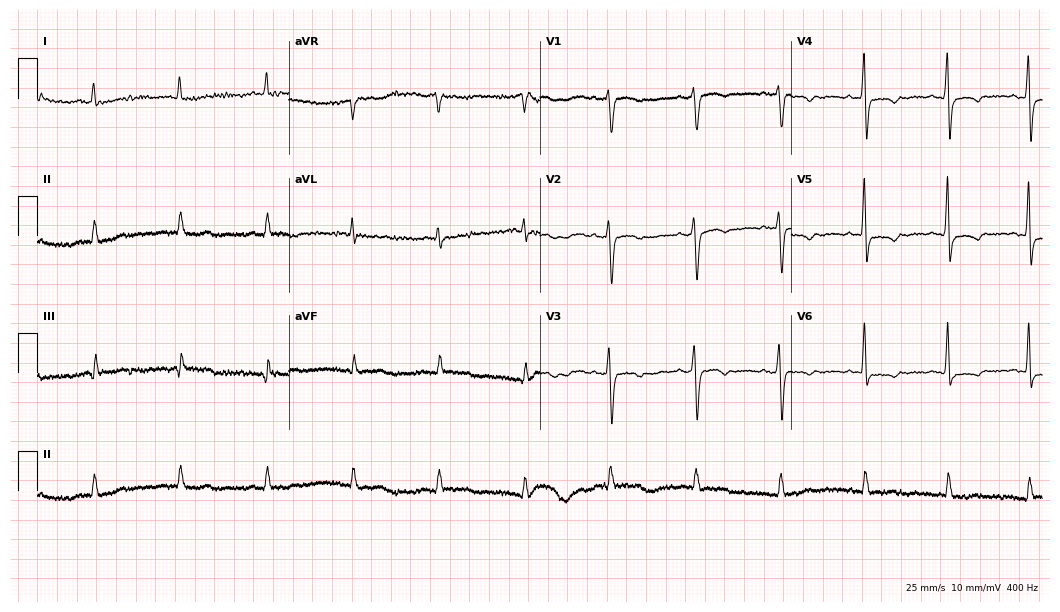
Standard 12-lead ECG recorded from a female, 82 years old. None of these six findings is recorded: first-degree AV block, right bundle branch block, left bundle branch block, sinus bradycardia, atrial fibrillation, sinus tachycardia.